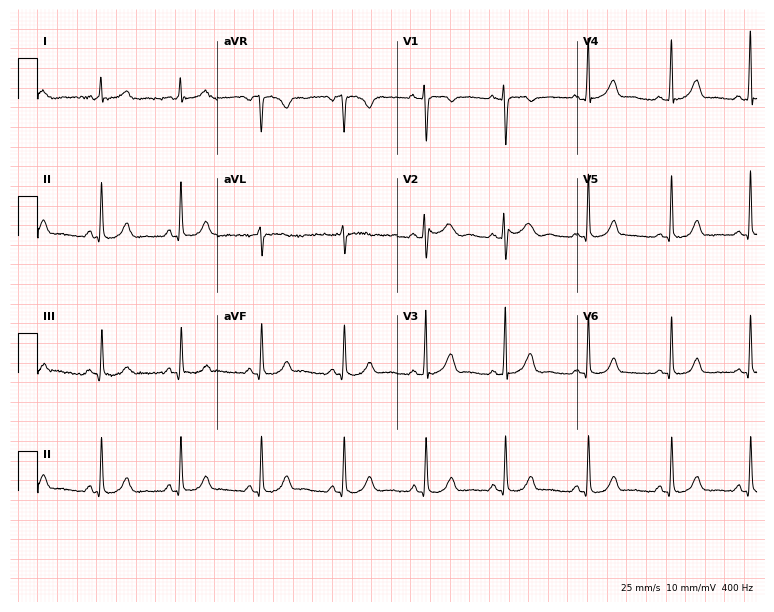
12-lead ECG from a female patient, 22 years old. Recorded interpretation: within normal limits.